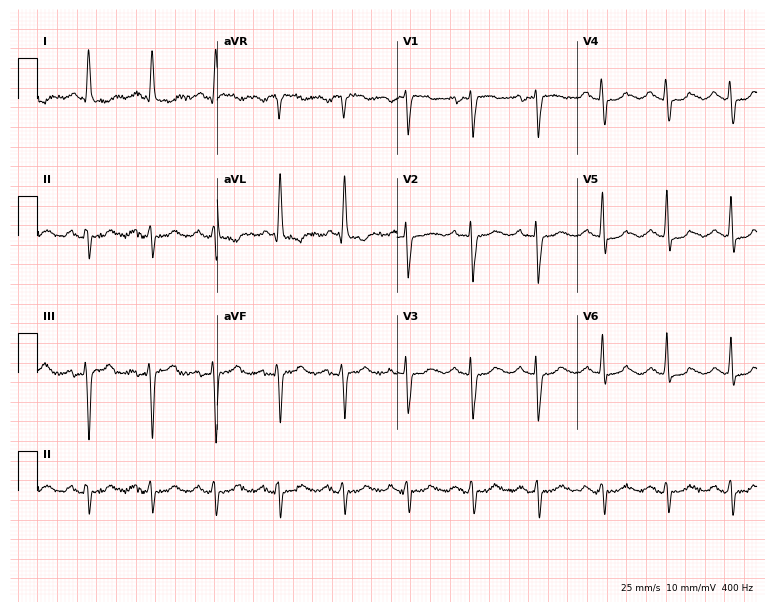
Resting 12-lead electrocardiogram (7.3-second recording at 400 Hz). Patient: a female, 77 years old. None of these six findings is recorded: first-degree AV block, right bundle branch block, left bundle branch block, sinus bradycardia, atrial fibrillation, sinus tachycardia. Only these six findings were labelled.